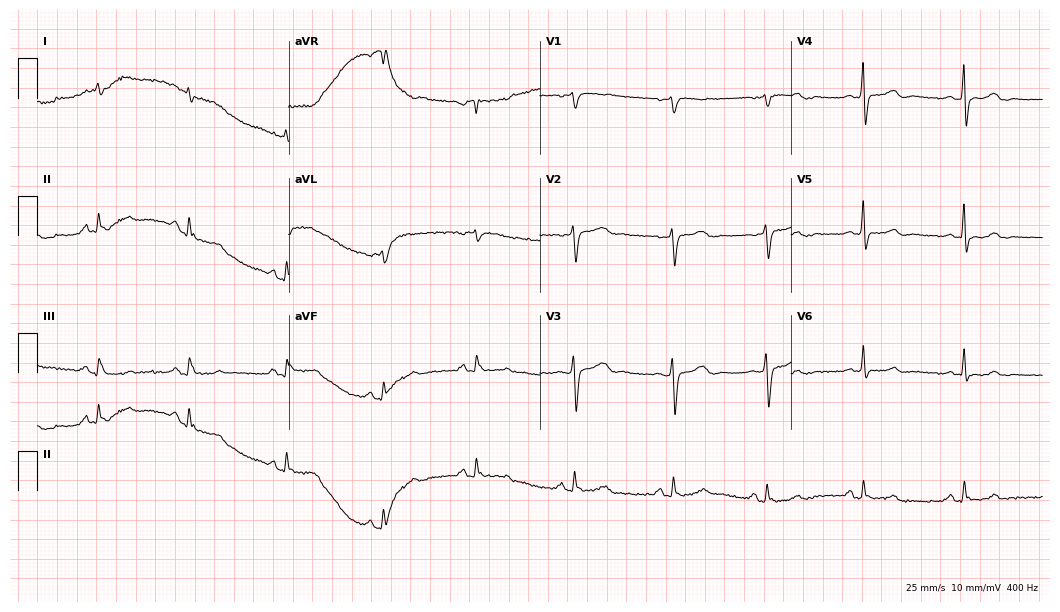
Standard 12-lead ECG recorded from a 54-year-old female patient (10.2-second recording at 400 Hz). Read as a normal ECG.